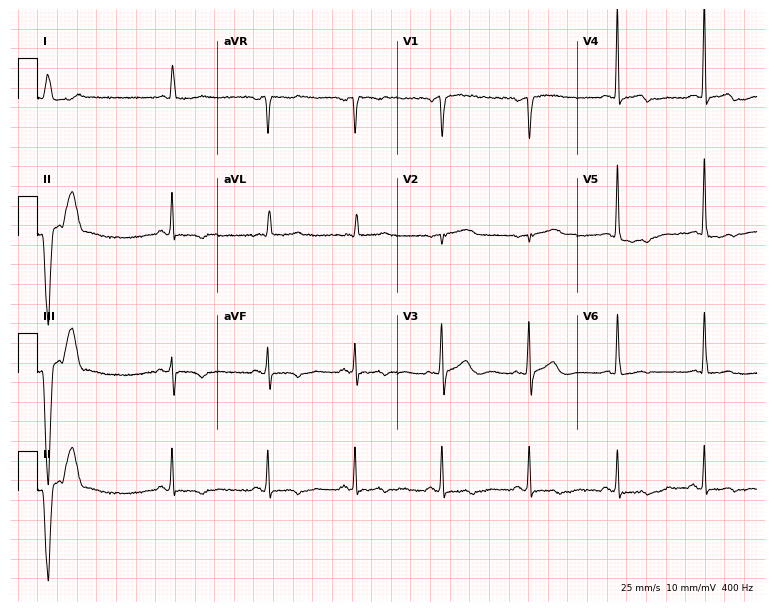
12-lead ECG from a female patient, 83 years old. No first-degree AV block, right bundle branch block (RBBB), left bundle branch block (LBBB), sinus bradycardia, atrial fibrillation (AF) or sinus tachycardia recorded for this tracing.